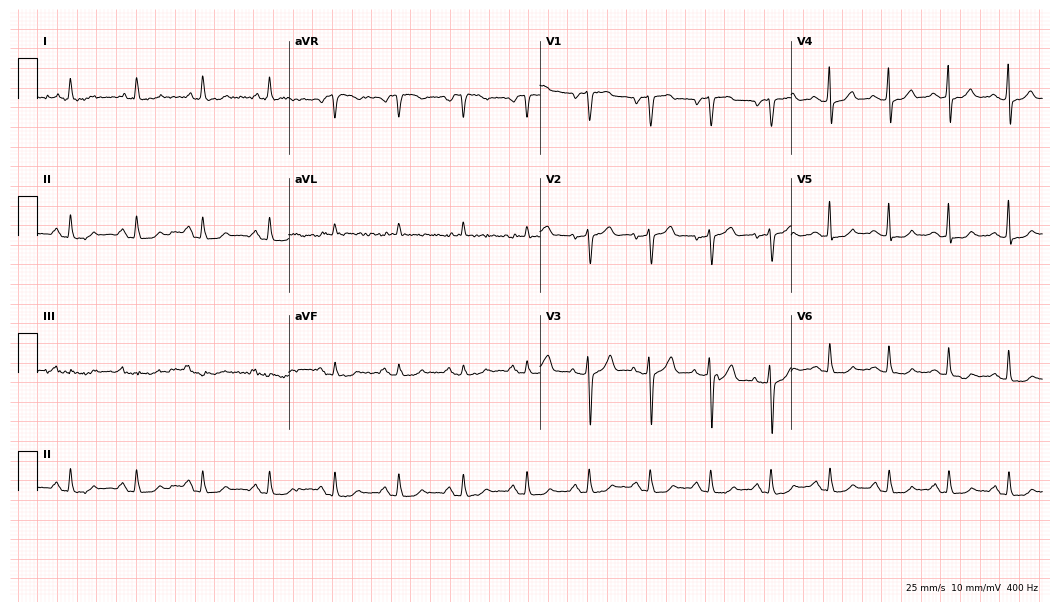
12-lead ECG from a 64-year-old male (10.2-second recording at 400 Hz). No first-degree AV block, right bundle branch block (RBBB), left bundle branch block (LBBB), sinus bradycardia, atrial fibrillation (AF) or sinus tachycardia recorded for this tracing.